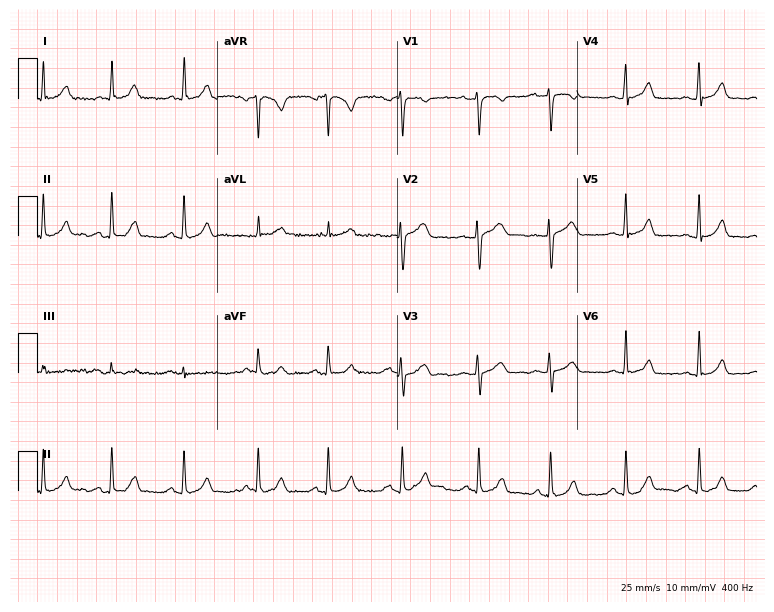
12-lead ECG from a 19-year-old woman. No first-degree AV block, right bundle branch block, left bundle branch block, sinus bradycardia, atrial fibrillation or sinus tachycardia recorded for this tracing. Findings outside these six are not listed.